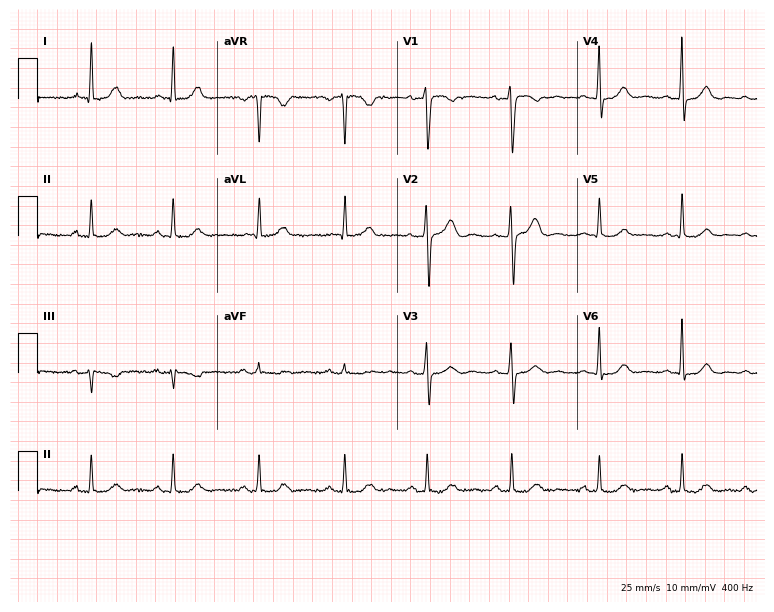
Standard 12-lead ECG recorded from a female, 44 years old (7.3-second recording at 400 Hz). Read as a normal ECG.